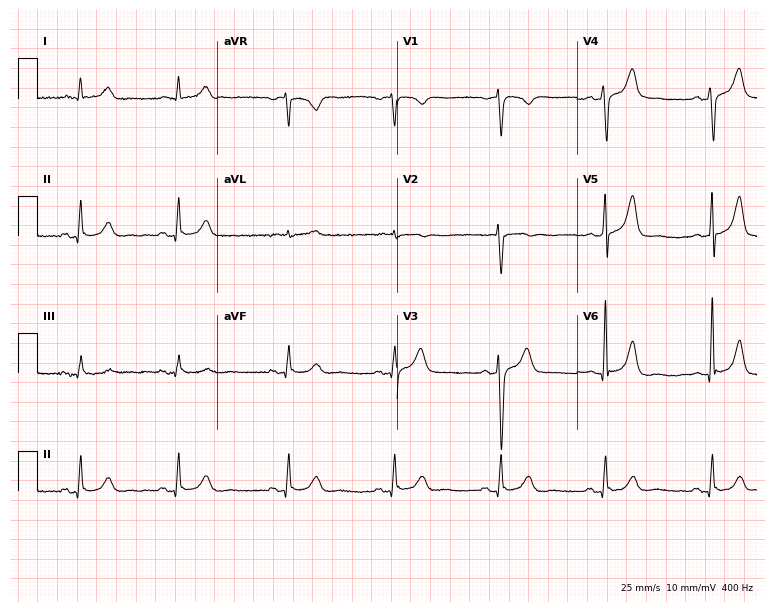
Electrocardiogram (7.3-second recording at 400 Hz), a man, 73 years old. Of the six screened findings (first-degree AV block, right bundle branch block, left bundle branch block, sinus bradycardia, atrial fibrillation, sinus tachycardia), none is recorded. Other findings, if any, are not listed.